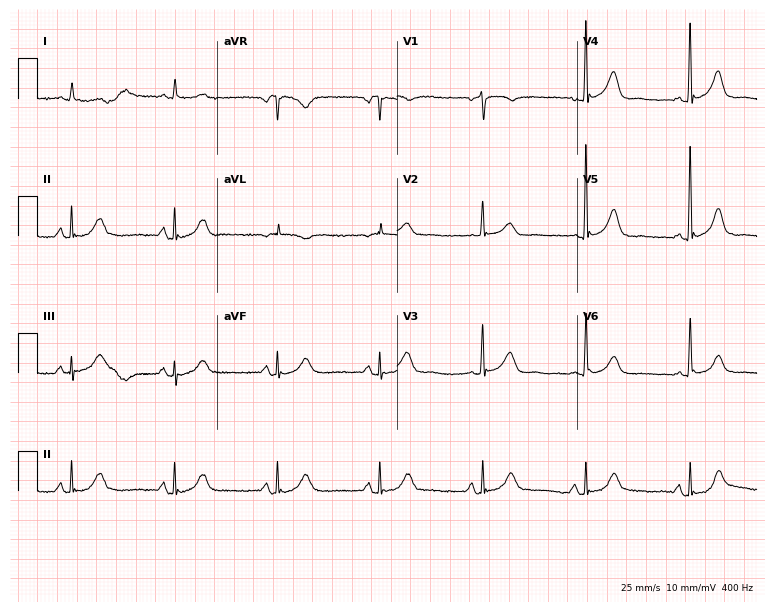
Resting 12-lead electrocardiogram (7.3-second recording at 400 Hz). Patient: an 85-year-old female. Read as a normal ECG.